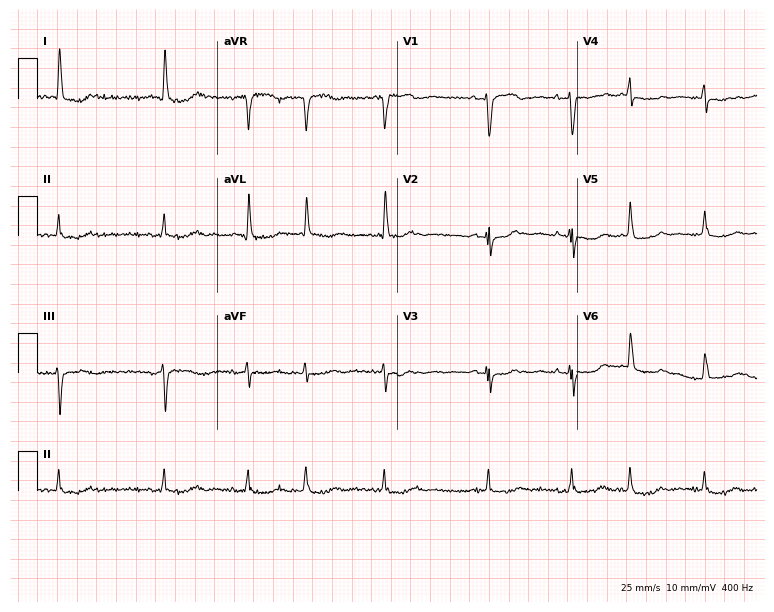
ECG — a 66-year-old female patient. Screened for six findings — first-degree AV block, right bundle branch block, left bundle branch block, sinus bradycardia, atrial fibrillation, sinus tachycardia — none is recorded. Only these six findings were labelled.